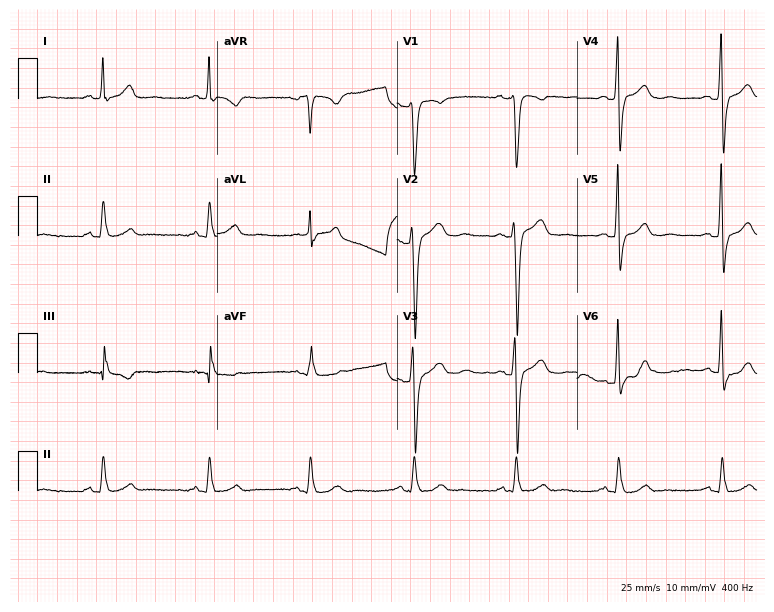
Electrocardiogram, a 46-year-old male patient. Of the six screened findings (first-degree AV block, right bundle branch block (RBBB), left bundle branch block (LBBB), sinus bradycardia, atrial fibrillation (AF), sinus tachycardia), none is recorded.